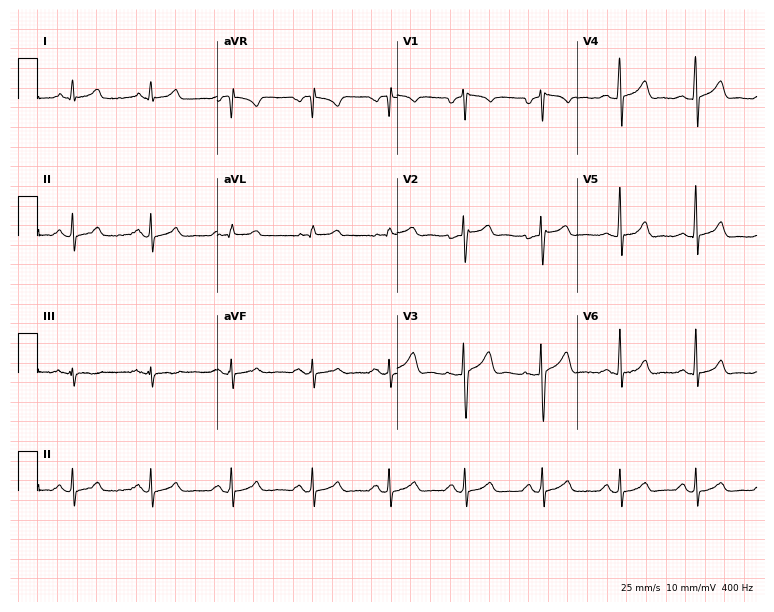
Standard 12-lead ECG recorded from a 31-year-old male patient (7.3-second recording at 400 Hz). None of these six findings is recorded: first-degree AV block, right bundle branch block (RBBB), left bundle branch block (LBBB), sinus bradycardia, atrial fibrillation (AF), sinus tachycardia. Only these six findings were labelled.